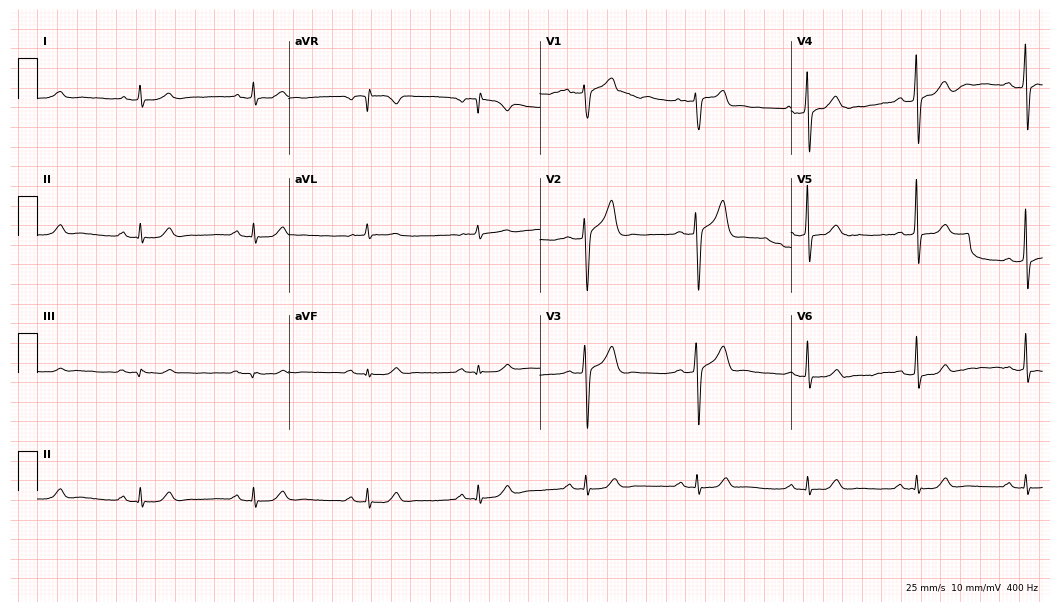
Electrocardiogram, a male, 55 years old. Of the six screened findings (first-degree AV block, right bundle branch block, left bundle branch block, sinus bradycardia, atrial fibrillation, sinus tachycardia), none is recorded.